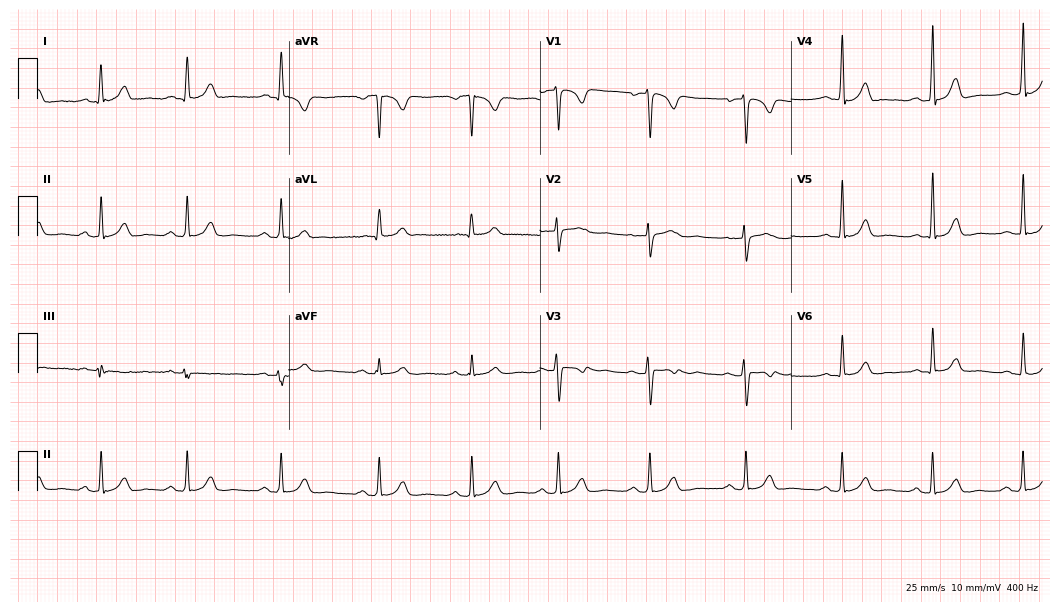
12-lead ECG from a female patient, 33 years old. Labelled as a normal ECG.